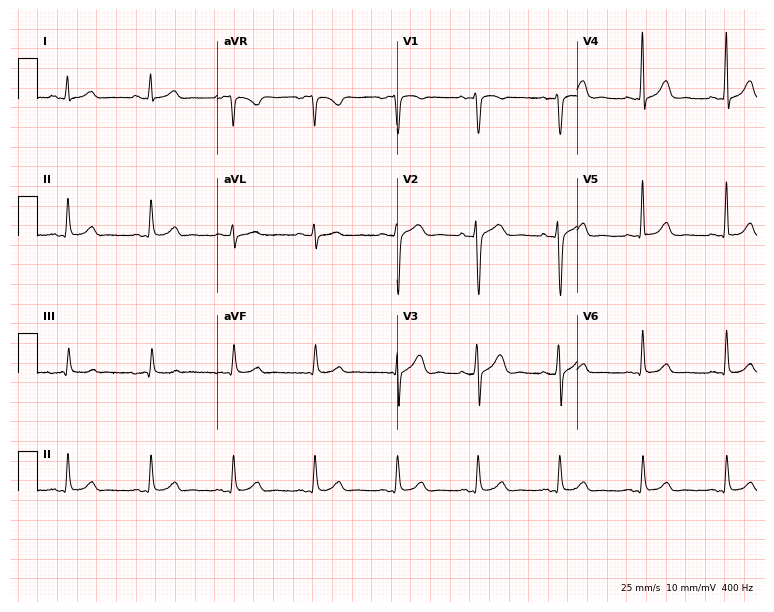
Standard 12-lead ECG recorded from a female patient, 41 years old. None of these six findings is recorded: first-degree AV block, right bundle branch block (RBBB), left bundle branch block (LBBB), sinus bradycardia, atrial fibrillation (AF), sinus tachycardia. Findings outside these six are not listed.